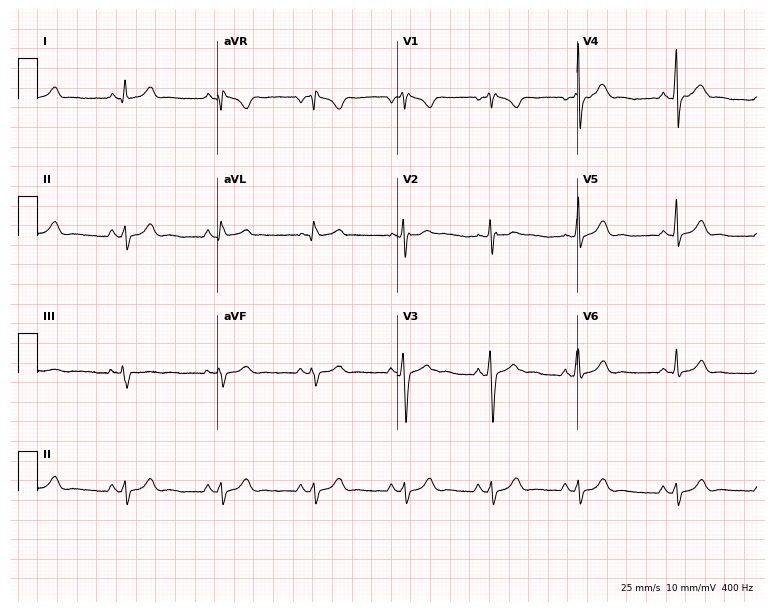
ECG (7.3-second recording at 400 Hz) — a man, 32 years old. Screened for six findings — first-degree AV block, right bundle branch block (RBBB), left bundle branch block (LBBB), sinus bradycardia, atrial fibrillation (AF), sinus tachycardia — none is recorded. Only these six findings were labelled.